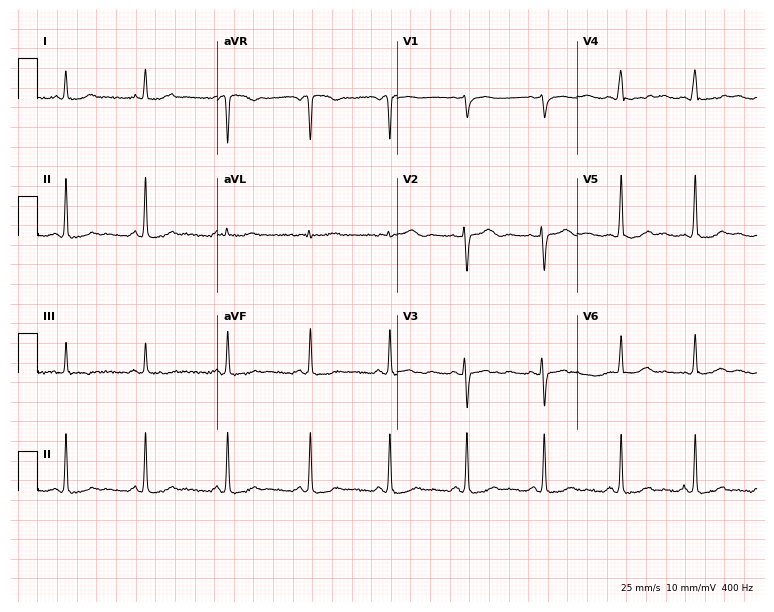
12-lead ECG from a female patient, 44 years old. Recorded interpretation: within normal limits.